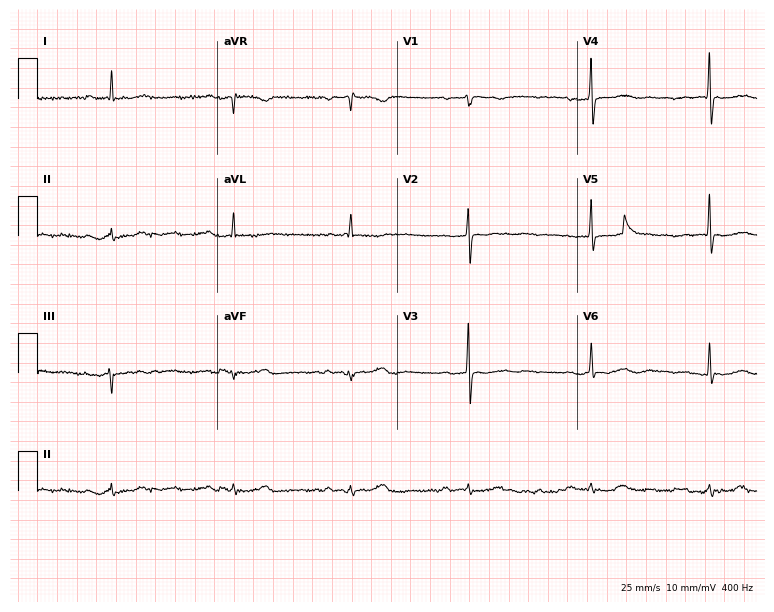
Electrocardiogram, a female patient, 75 years old. Interpretation includes sinus bradycardia (a sinus rate of 50 beats per minute or less).